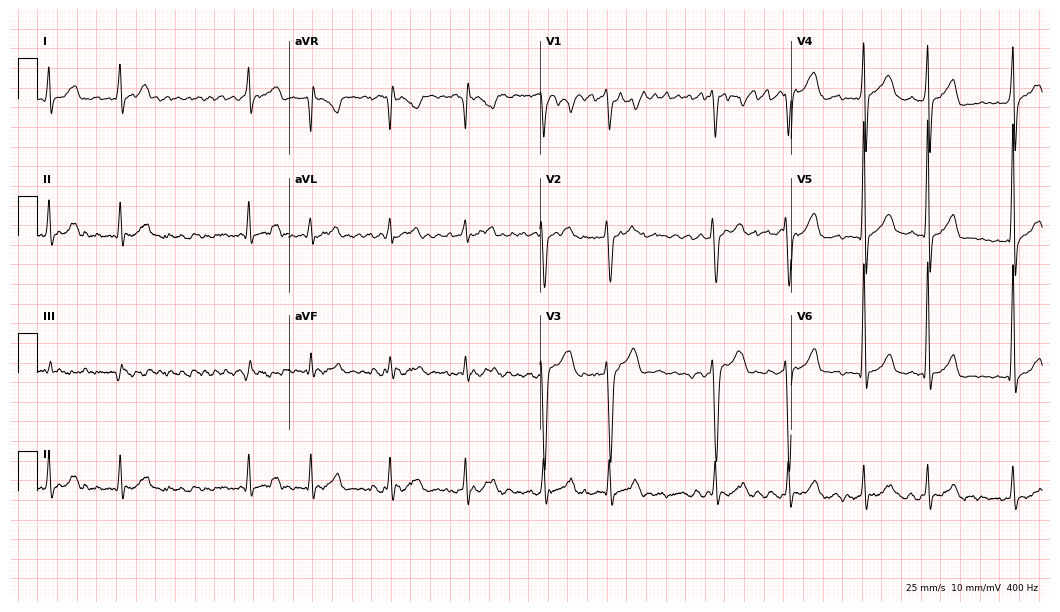
12-lead ECG from a male, 32 years old (10.2-second recording at 400 Hz). Shows atrial fibrillation (AF).